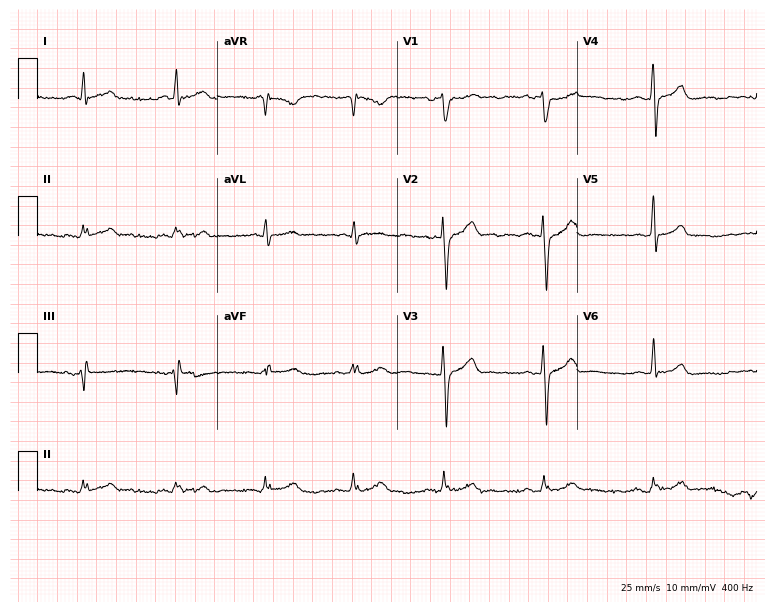
ECG — a male patient, 45 years old. Labelled as a normal ECG.